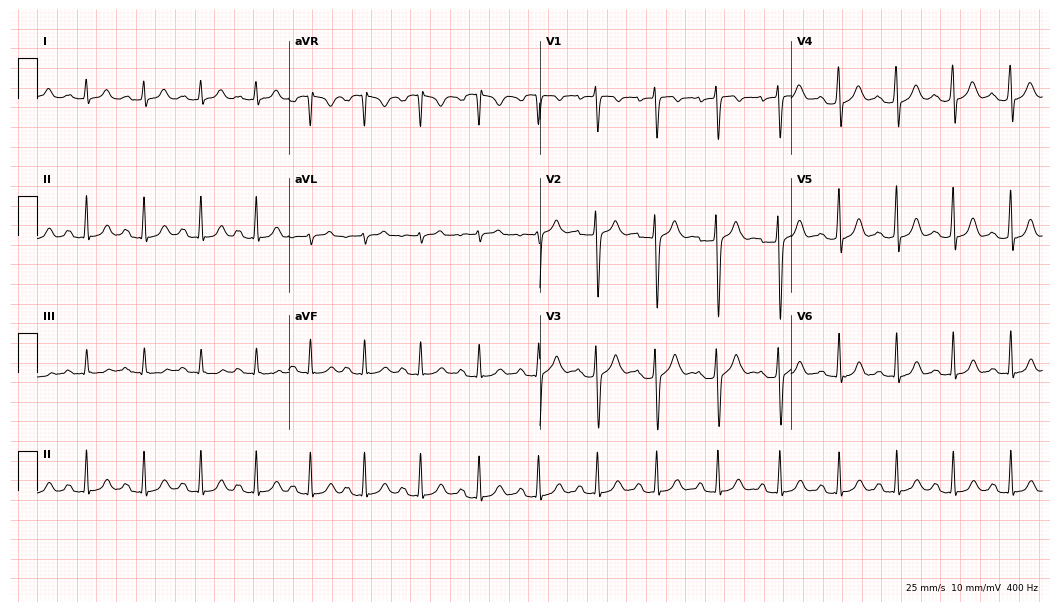
Electrocardiogram (10.2-second recording at 400 Hz), a 20-year-old female patient. Overall reading on record: normal ECG.